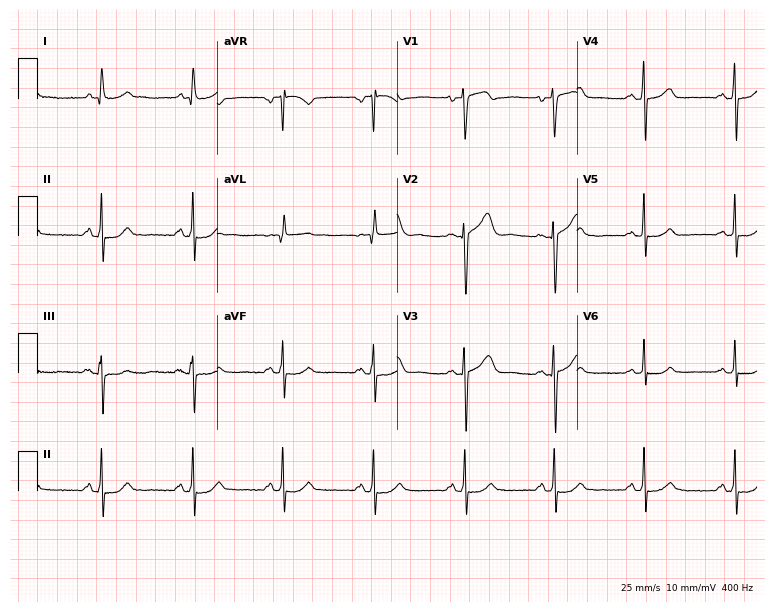
12-lead ECG (7.3-second recording at 400 Hz) from a 56-year-old male patient. Labelled as a normal ECG.